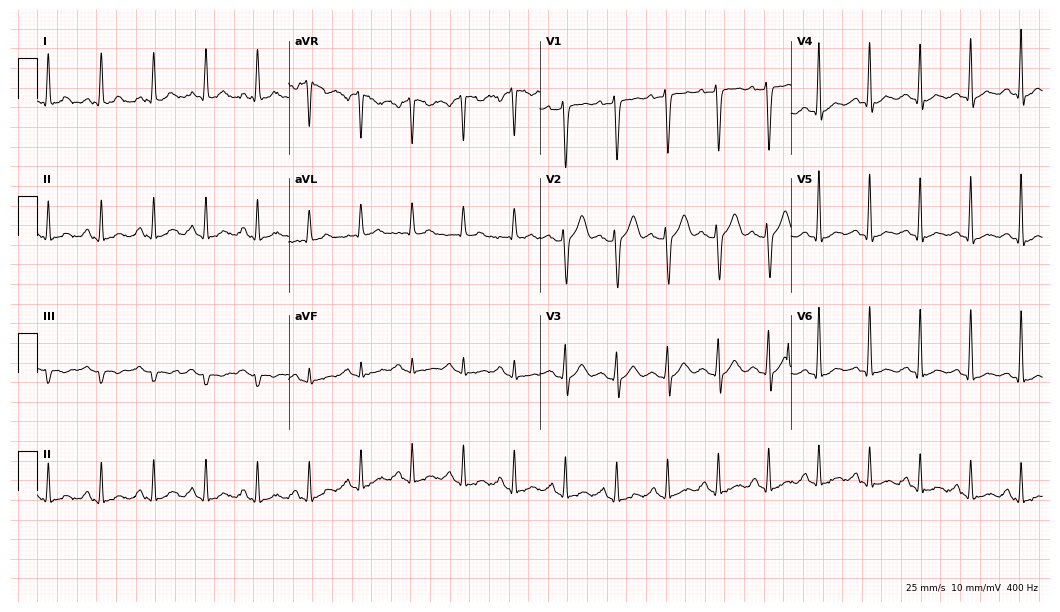
Electrocardiogram, a man, 44 years old. Interpretation includes sinus tachycardia (a sinus rate of 100 beats per minute or more).